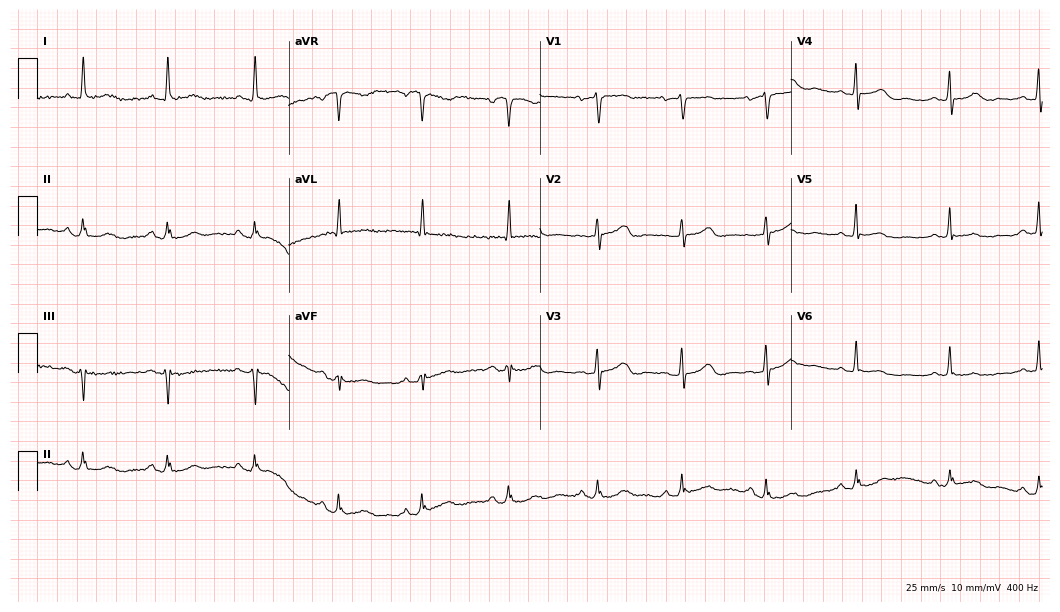
Standard 12-lead ECG recorded from a 64-year-old woman. Read as a normal ECG.